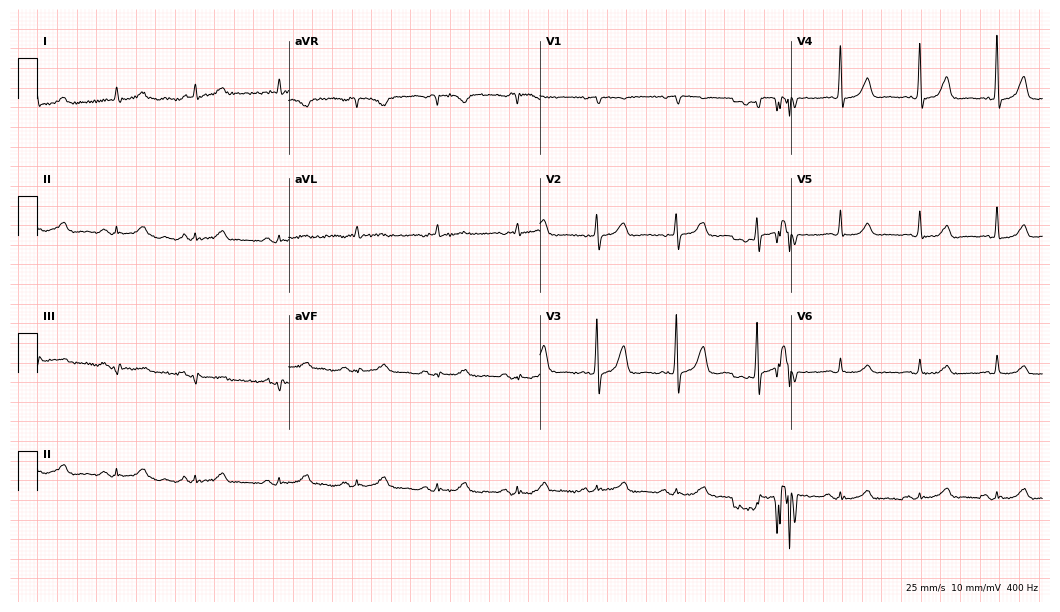
12-lead ECG from a woman, 82 years old (10.2-second recording at 400 Hz). Recorded interpretation: within normal limits.